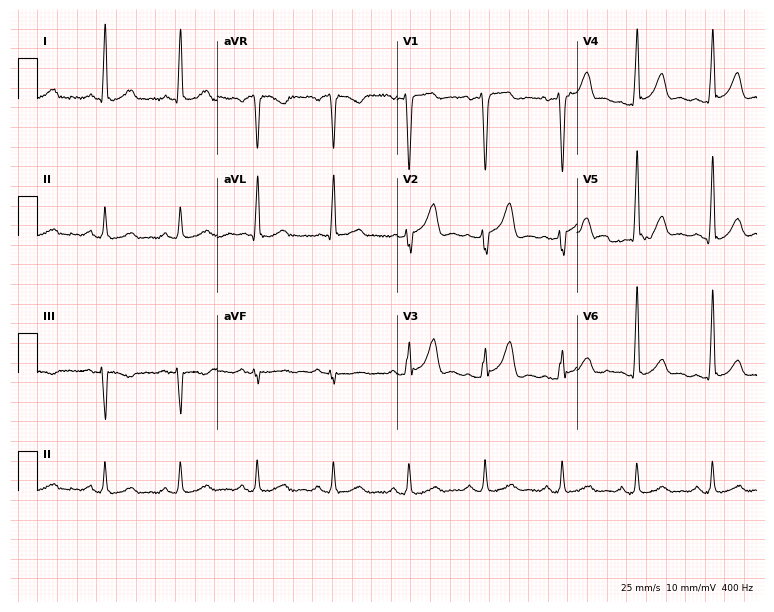
Resting 12-lead electrocardiogram (7.3-second recording at 400 Hz). Patient: a male, 34 years old. None of these six findings is recorded: first-degree AV block, right bundle branch block, left bundle branch block, sinus bradycardia, atrial fibrillation, sinus tachycardia.